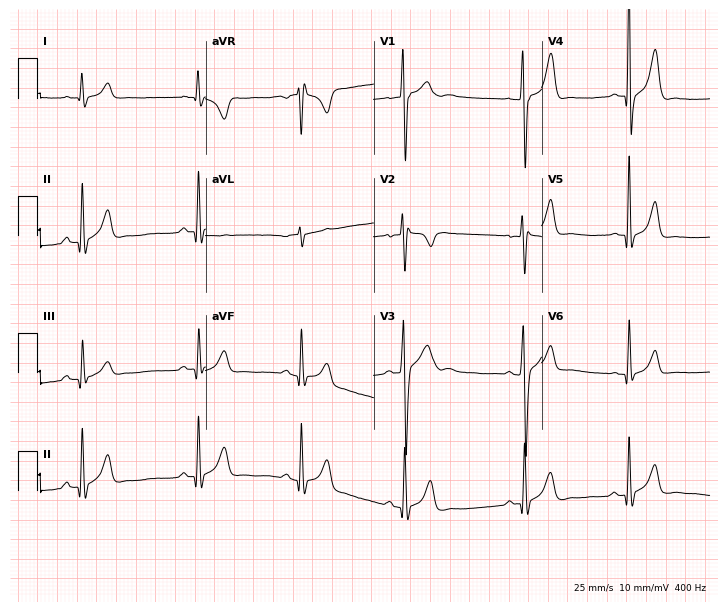
ECG (6.9-second recording at 400 Hz) — a 17-year-old male patient. Screened for six findings — first-degree AV block, right bundle branch block (RBBB), left bundle branch block (LBBB), sinus bradycardia, atrial fibrillation (AF), sinus tachycardia — none is recorded.